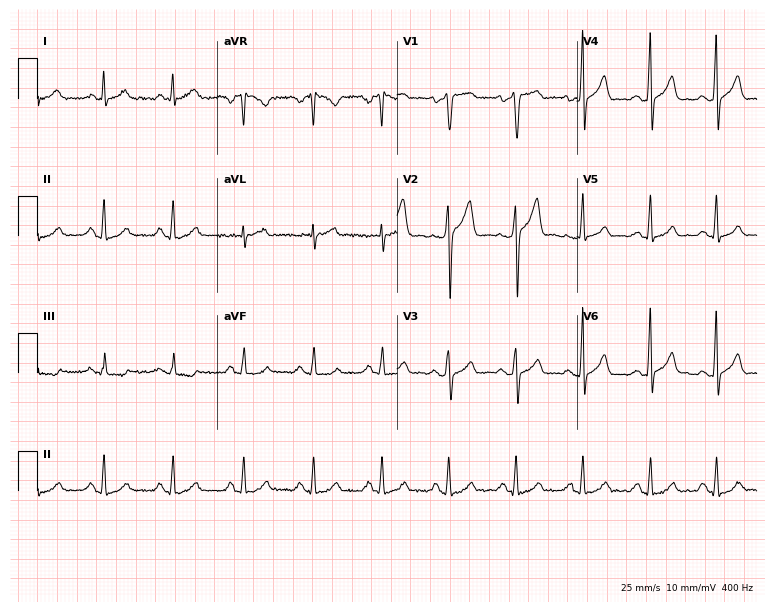
Standard 12-lead ECG recorded from a man, 63 years old (7.3-second recording at 400 Hz). Read as a normal ECG.